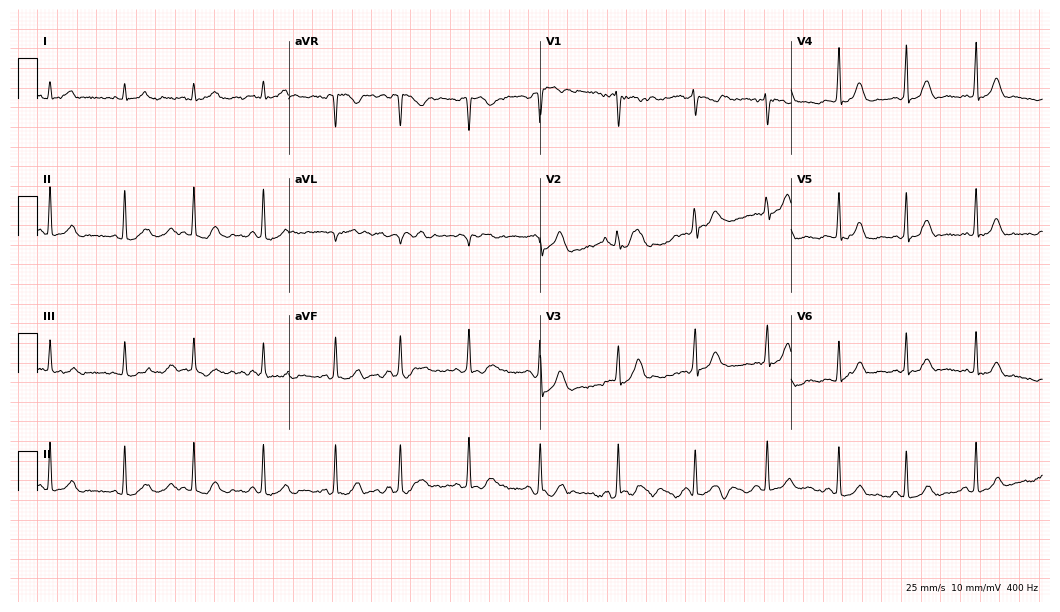
12-lead ECG from a 28-year-old female patient. Labelled as a normal ECG.